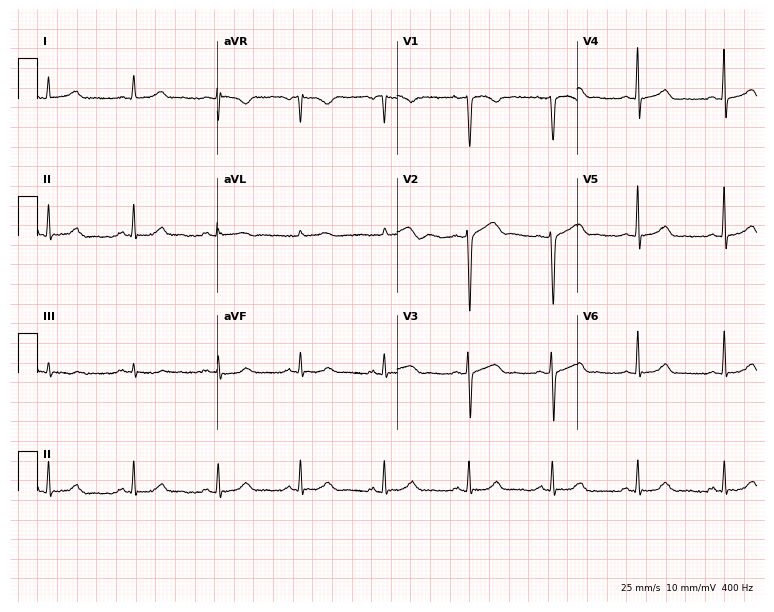
Electrocardiogram (7.3-second recording at 400 Hz), a 40-year-old female patient. Overall reading on record: normal ECG.